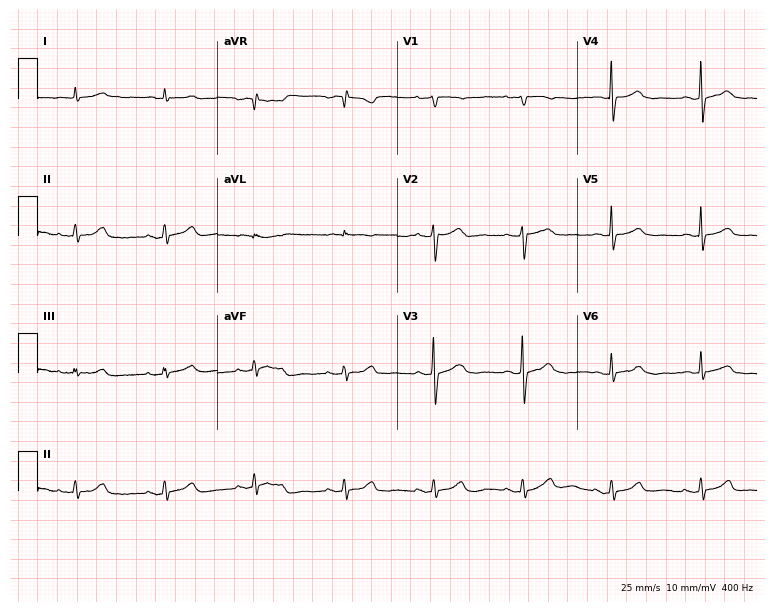
Resting 12-lead electrocardiogram (7.3-second recording at 400 Hz). Patient: a man, 77 years old. Read as a normal ECG.